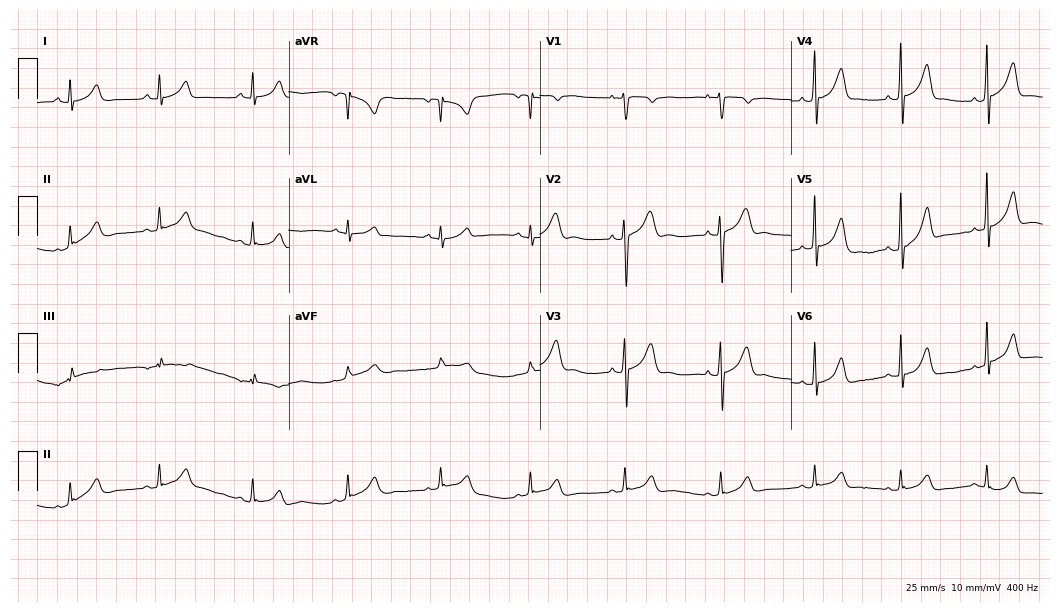
12-lead ECG (10.2-second recording at 400 Hz) from a female patient, 27 years old. Labelled as a normal ECG.